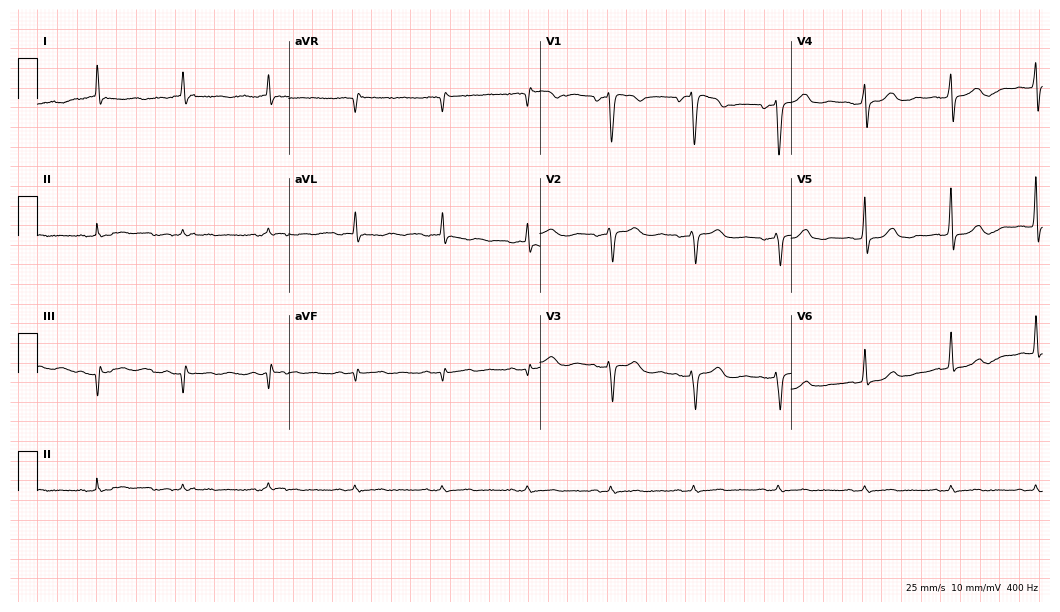
Electrocardiogram, a 61-year-old female. Of the six screened findings (first-degree AV block, right bundle branch block, left bundle branch block, sinus bradycardia, atrial fibrillation, sinus tachycardia), none is recorded.